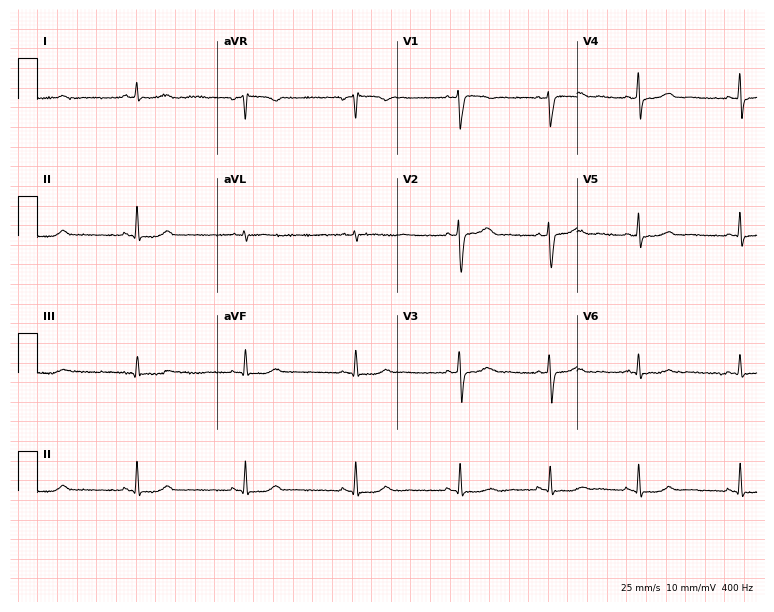
ECG (7.3-second recording at 400 Hz) — a 49-year-old female patient. Screened for six findings — first-degree AV block, right bundle branch block, left bundle branch block, sinus bradycardia, atrial fibrillation, sinus tachycardia — none is recorded. Only these six findings were labelled.